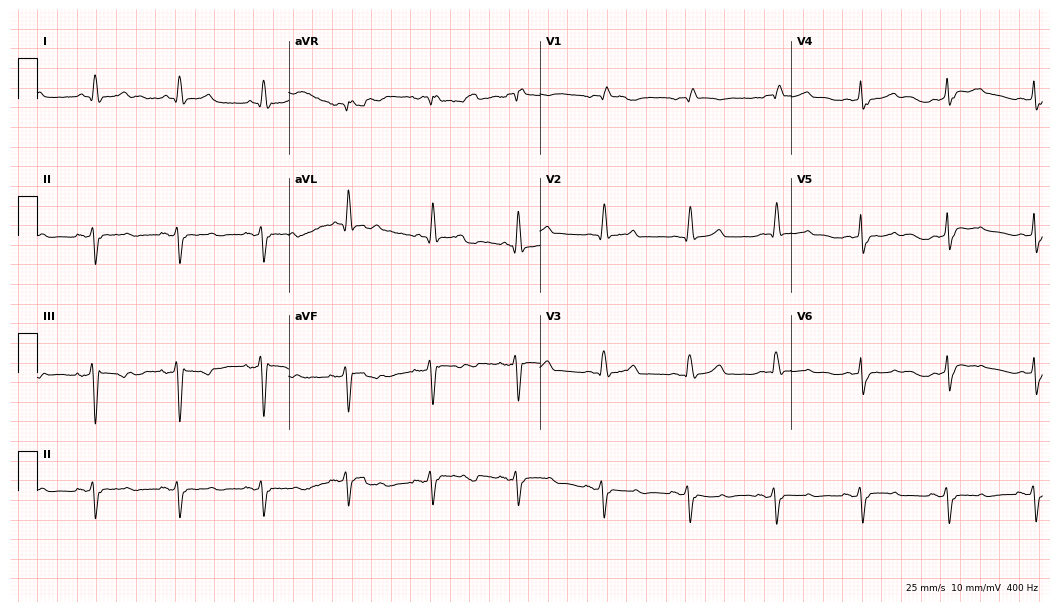
Standard 12-lead ECG recorded from a man, 85 years old. The tracing shows right bundle branch block.